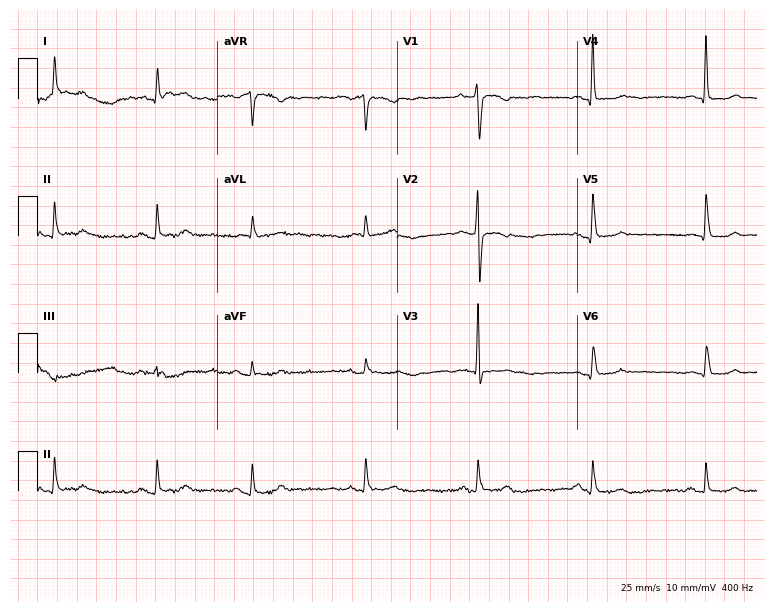
ECG — a female patient, 76 years old. Screened for six findings — first-degree AV block, right bundle branch block, left bundle branch block, sinus bradycardia, atrial fibrillation, sinus tachycardia — none is recorded.